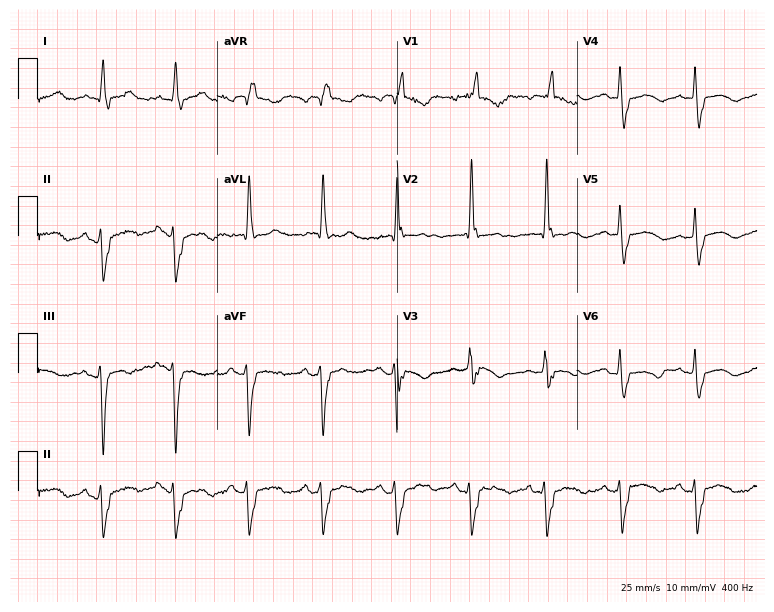
Resting 12-lead electrocardiogram. Patient: a 77-year-old female. The tracing shows right bundle branch block.